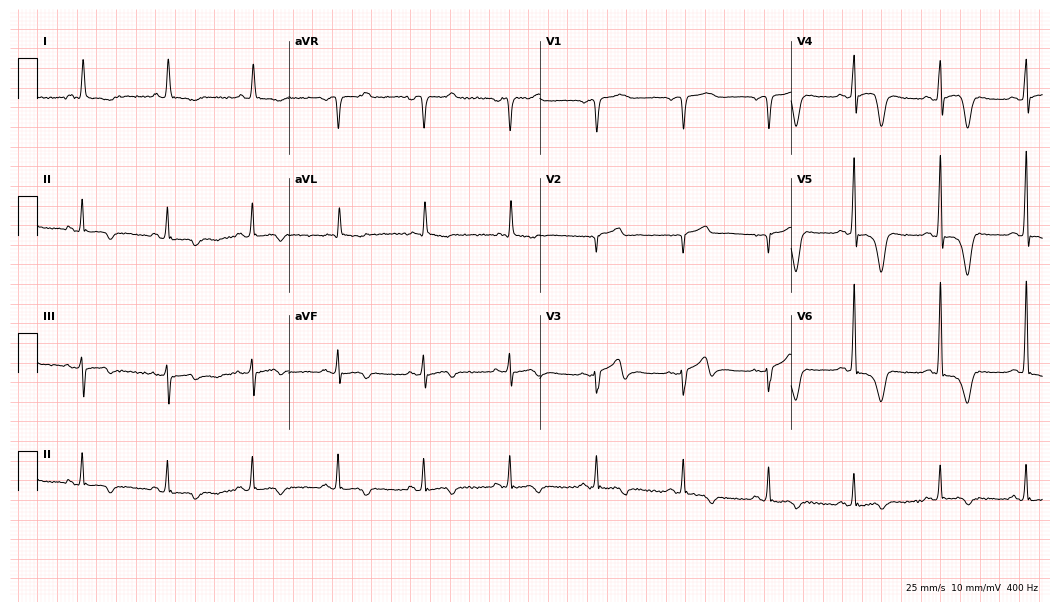
Electrocardiogram (10.2-second recording at 400 Hz), a male patient, 75 years old. Of the six screened findings (first-degree AV block, right bundle branch block (RBBB), left bundle branch block (LBBB), sinus bradycardia, atrial fibrillation (AF), sinus tachycardia), none is recorded. Only these six findings were labelled.